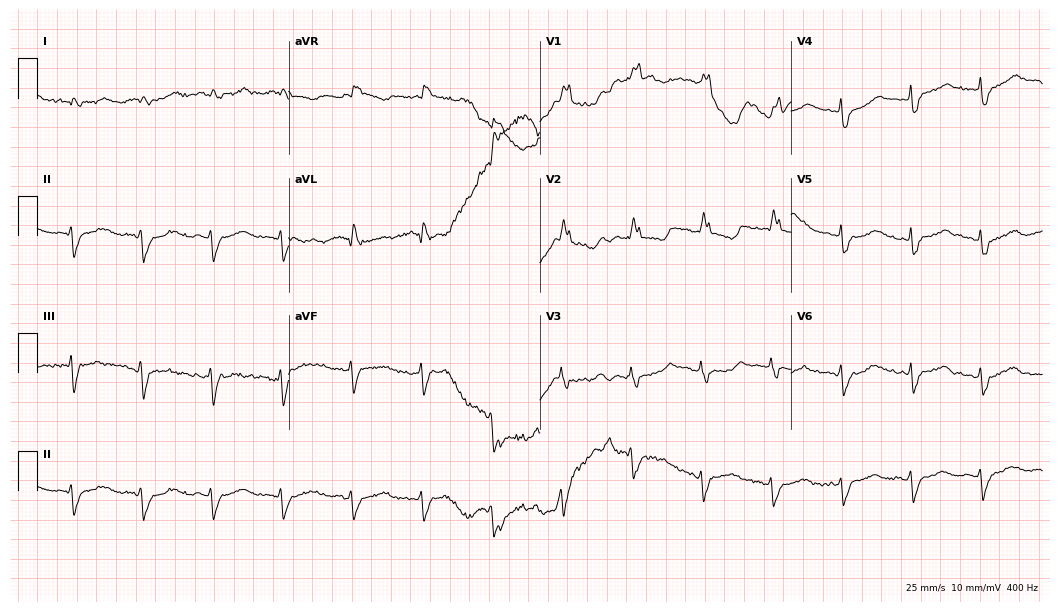
Electrocardiogram, a man, 54 years old. Of the six screened findings (first-degree AV block, right bundle branch block (RBBB), left bundle branch block (LBBB), sinus bradycardia, atrial fibrillation (AF), sinus tachycardia), none is recorded.